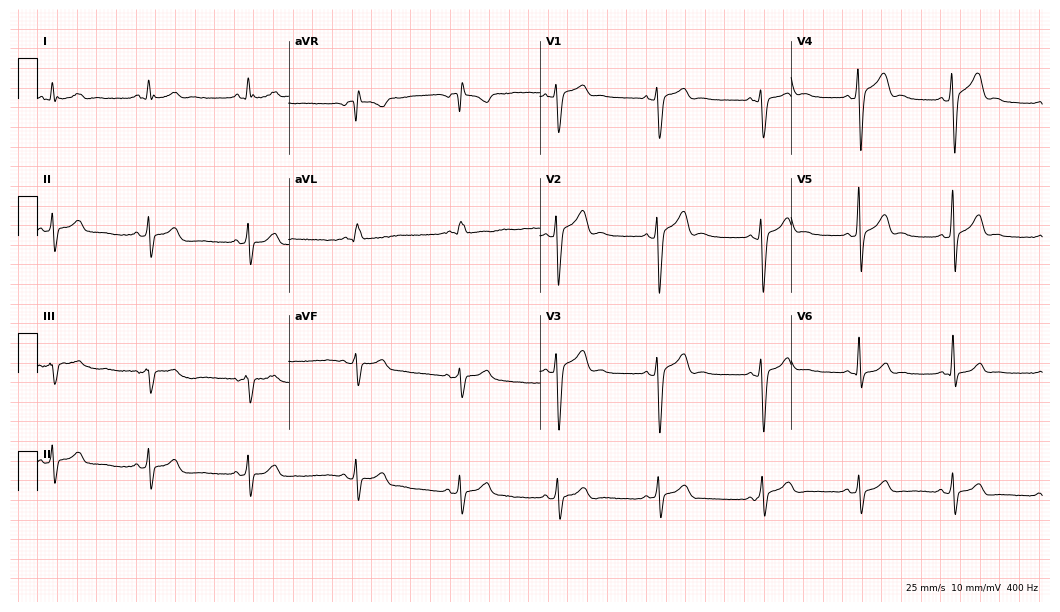
12-lead ECG from a male, 28 years old (10.2-second recording at 400 Hz). No first-degree AV block, right bundle branch block, left bundle branch block, sinus bradycardia, atrial fibrillation or sinus tachycardia recorded for this tracing.